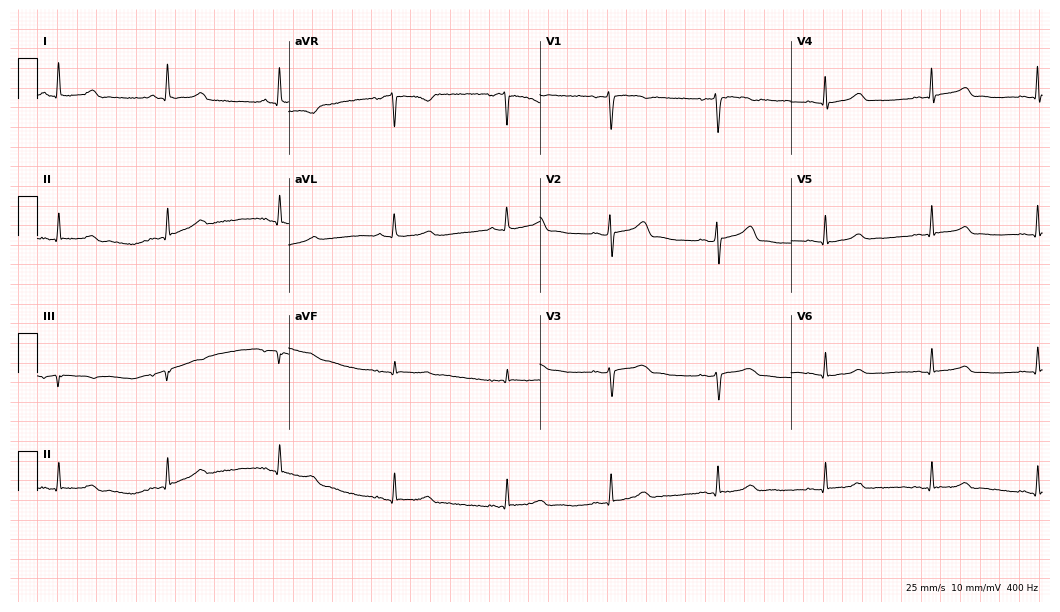
ECG — a female patient, 55 years old. Screened for six findings — first-degree AV block, right bundle branch block (RBBB), left bundle branch block (LBBB), sinus bradycardia, atrial fibrillation (AF), sinus tachycardia — none is recorded. Only these six findings were labelled.